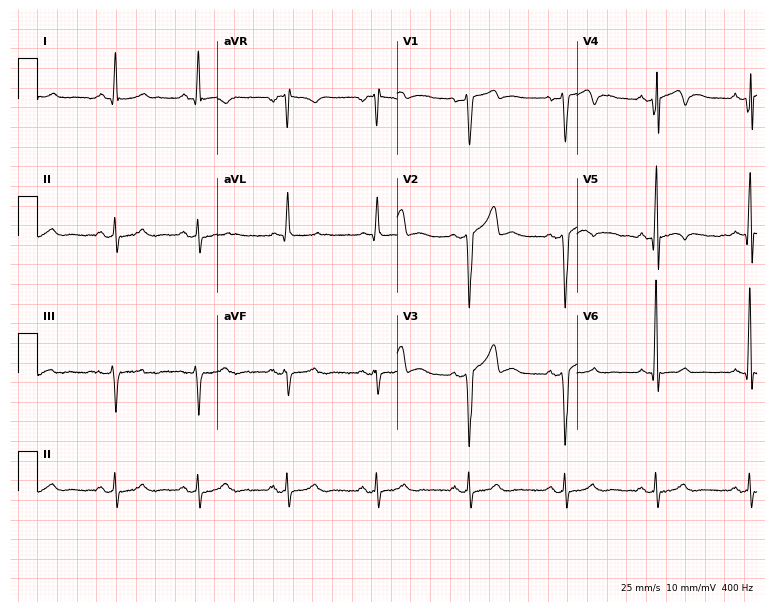
Standard 12-lead ECG recorded from a male, 47 years old. None of these six findings is recorded: first-degree AV block, right bundle branch block, left bundle branch block, sinus bradycardia, atrial fibrillation, sinus tachycardia.